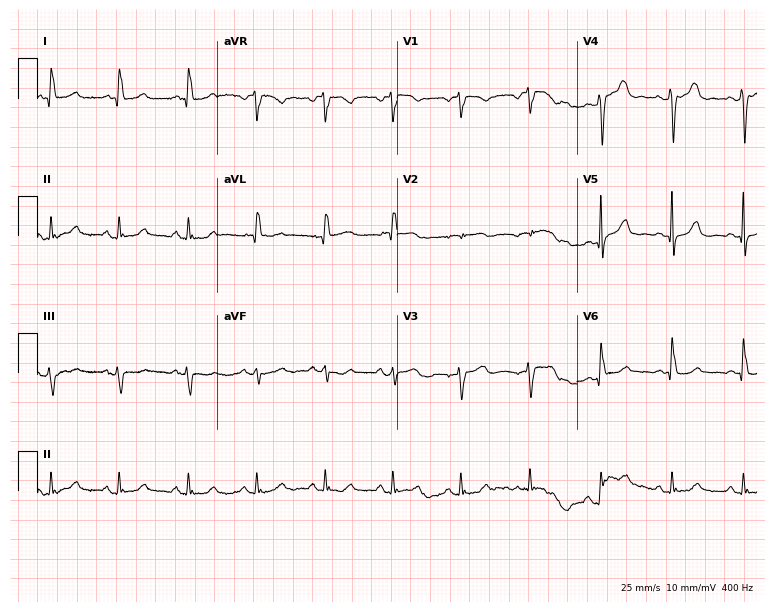
Electrocardiogram (7.3-second recording at 400 Hz), a female patient, 74 years old. Of the six screened findings (first-degree AV block, right bundle branch block (RBBB), left bundle branch block (LBBB), sinus bradycardia, atrial fibrillation (AF), sinus tachycardia), none is recorded.